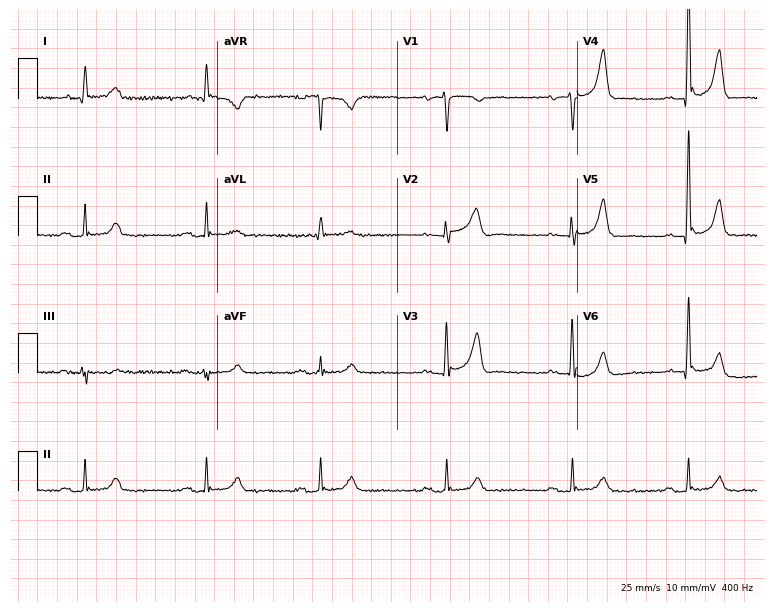
12-lead ECG (7.3-second recording at 400 Hz) from a 69-year-old male. Labelled as a normal ECG.